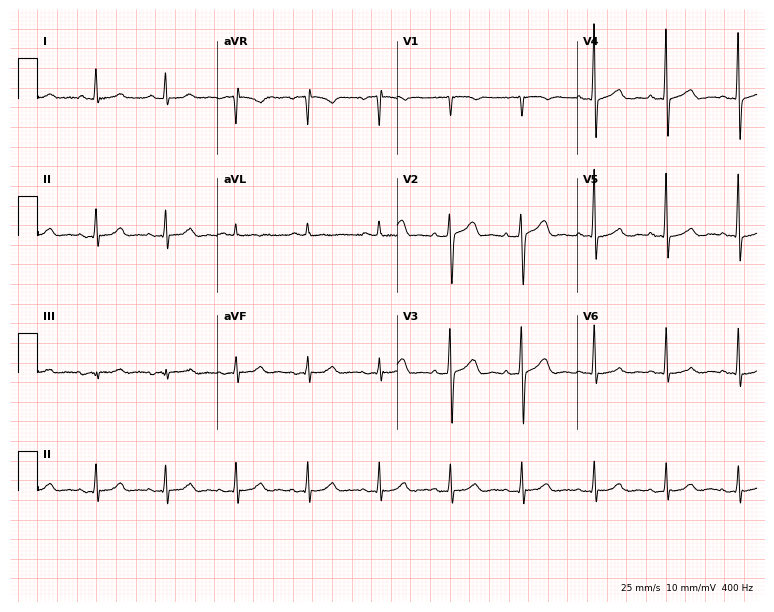
12-lead ECG from a 78-year-old male. Screened for six findings — first-degree AV block, right bundle branch block, left bundle branch block, sinus bradycardia, atrial fibrillation, sinus tachycardia — none is recorded. Only these six findings were labelled.